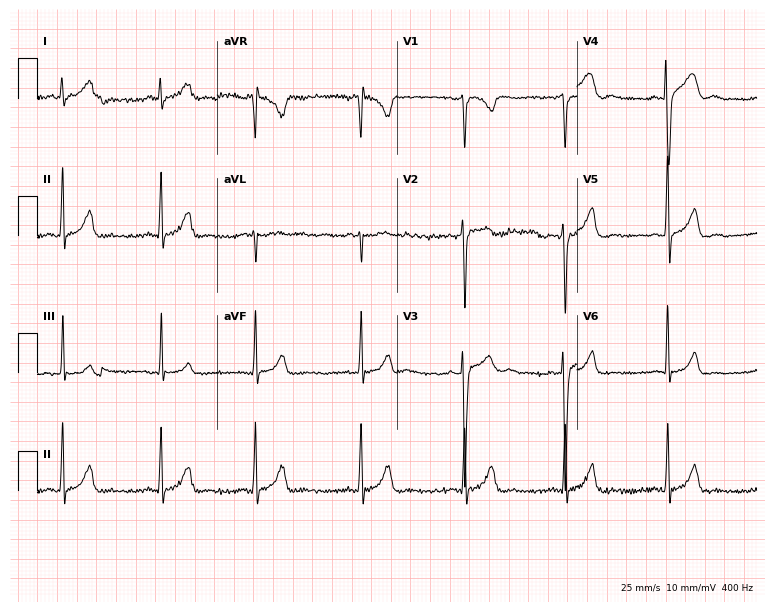
Electrocardiogram (7.3-second recording at 400 Hz), a male patient, 23 years old. Overall reading on record: normal ECG.